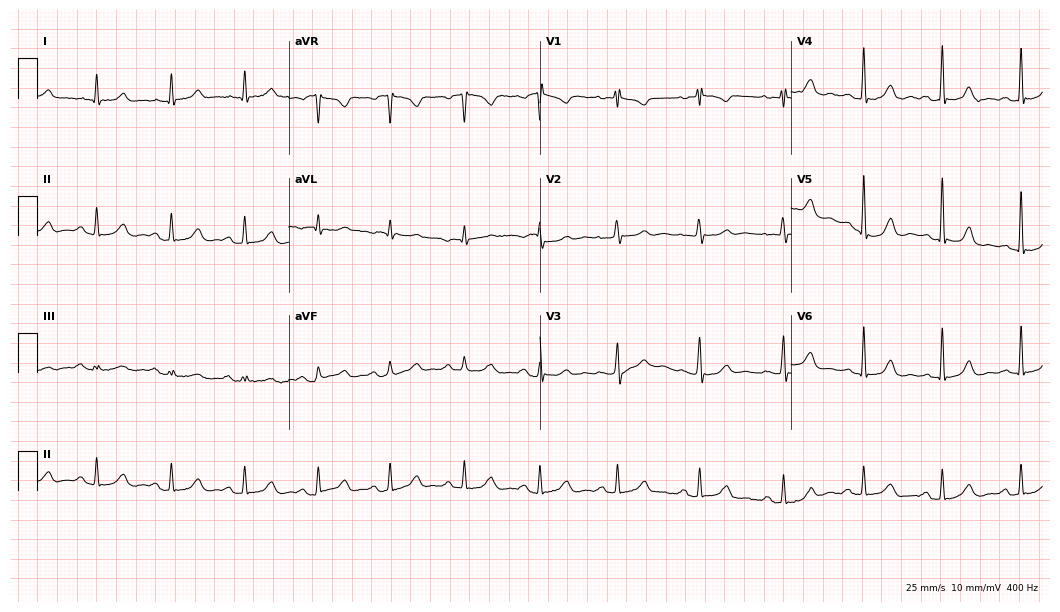
Electrocardiogram, a woman, 67 years old. Of the six screened findings (first-degree AV block, right bundle branch block, left bundle branch block, sinus bradycardia, atrial fibrillation, sinus tachycardia), none is recorded. Only these six findings were labelled.